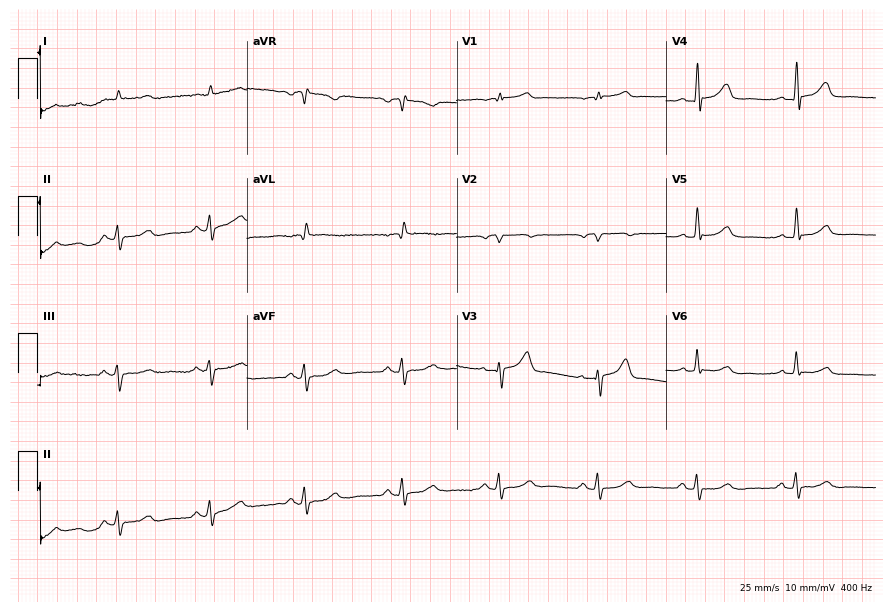
12-lead ECG from a 79-year-old male. Recorded interpretation: within normal limits.